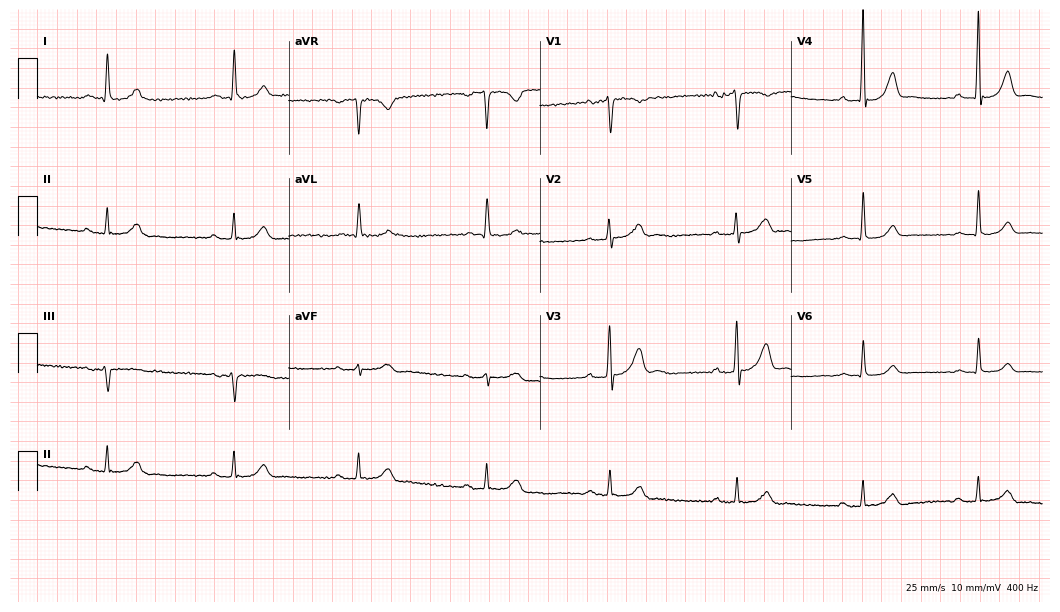
Electrocardiogram (10.2-second recording at 400 Hz), a 63-year-old man. Interpretation includes sinus bradycardia (a sinus rate of 50 beats per minute or less).